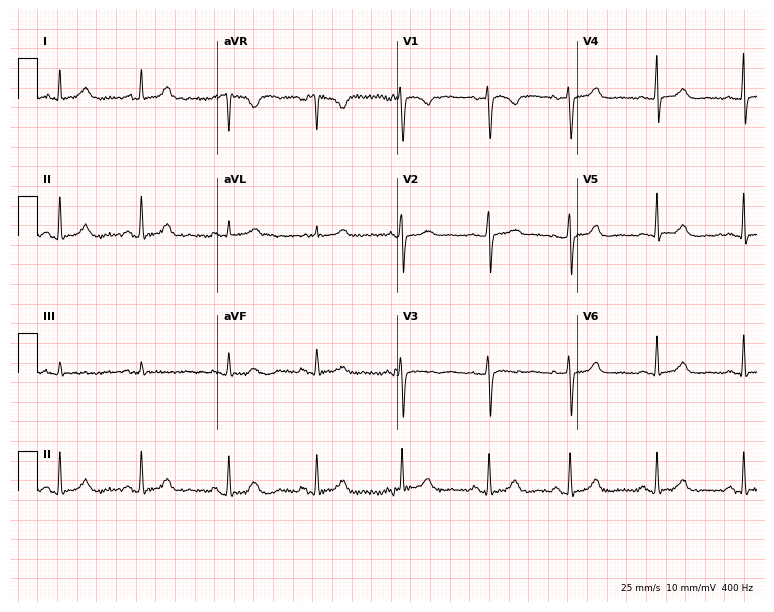
Resting 12-lead electrocardiogram. Patient: a 25-year-old female. Read as a normal ECG.